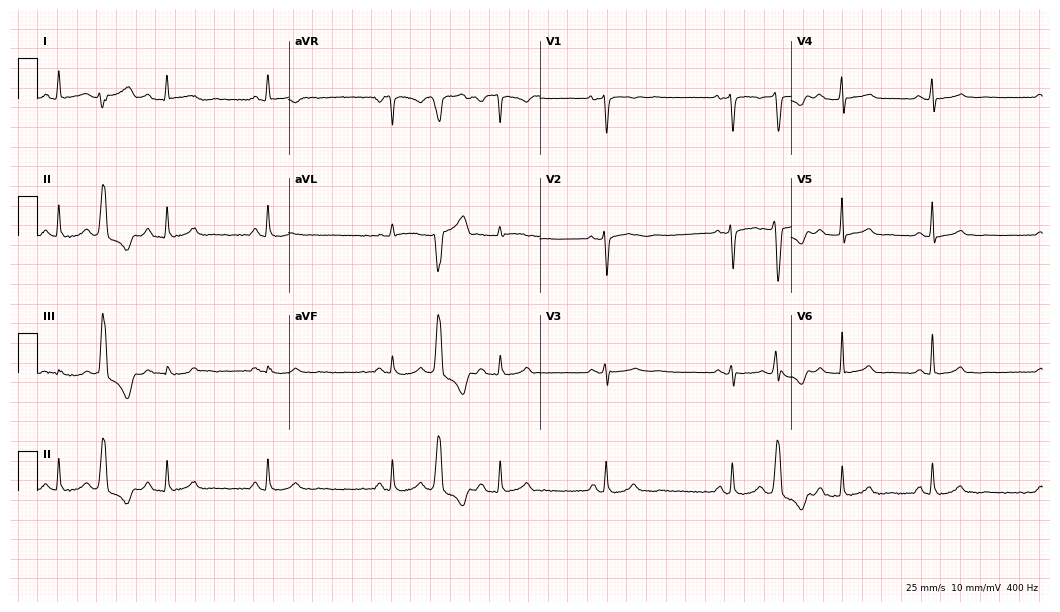
ECG — a 43-year-old female patient. Labelled as a normal ECG.